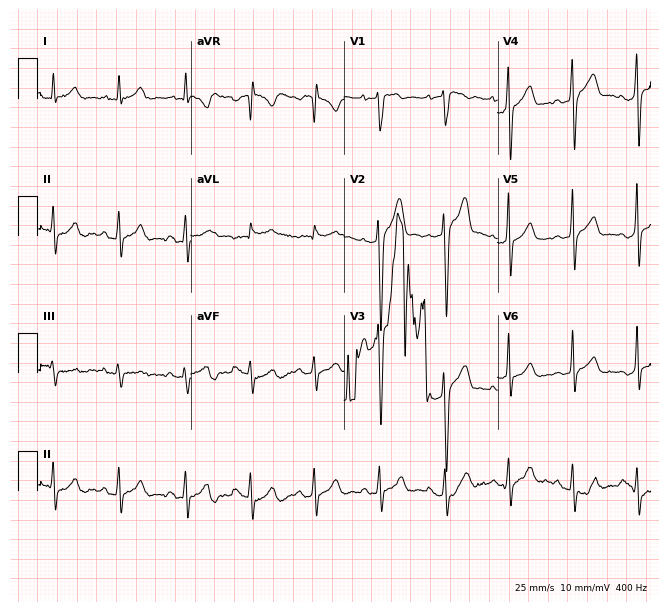
12-lead ECG from a male, 28 years old (6.3-second recording at 400 Hz). No first-degree AV block, right bundle branch block, left bundle branch block, sinus bradycardia, atrial fibrillation or sinus tachycardia recorded for this tracing. Only these six findings were labelled.